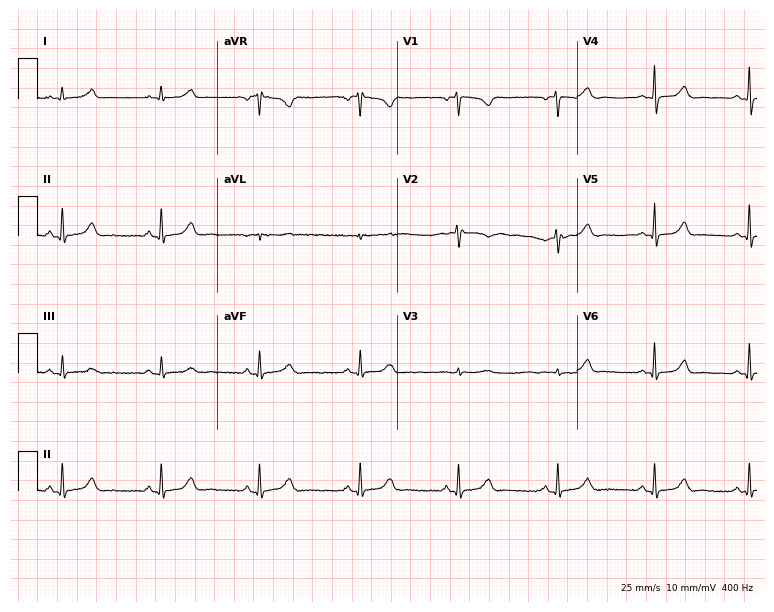
ECG — a female, 38 years old. Labelled as a normal ECG.